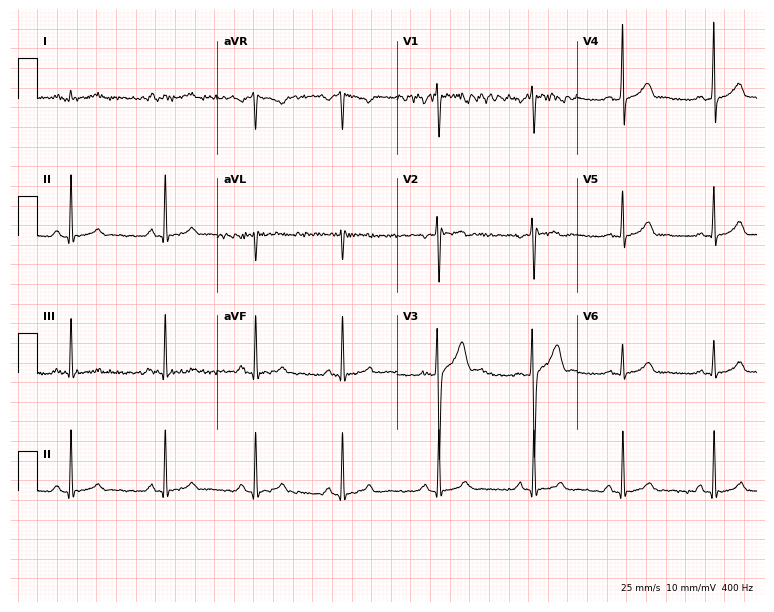
Resting 12-lead electrocardiogram (7.3-second recording at 400 Hz). Patient: a male, 23 years old. Read as a normal ECG.